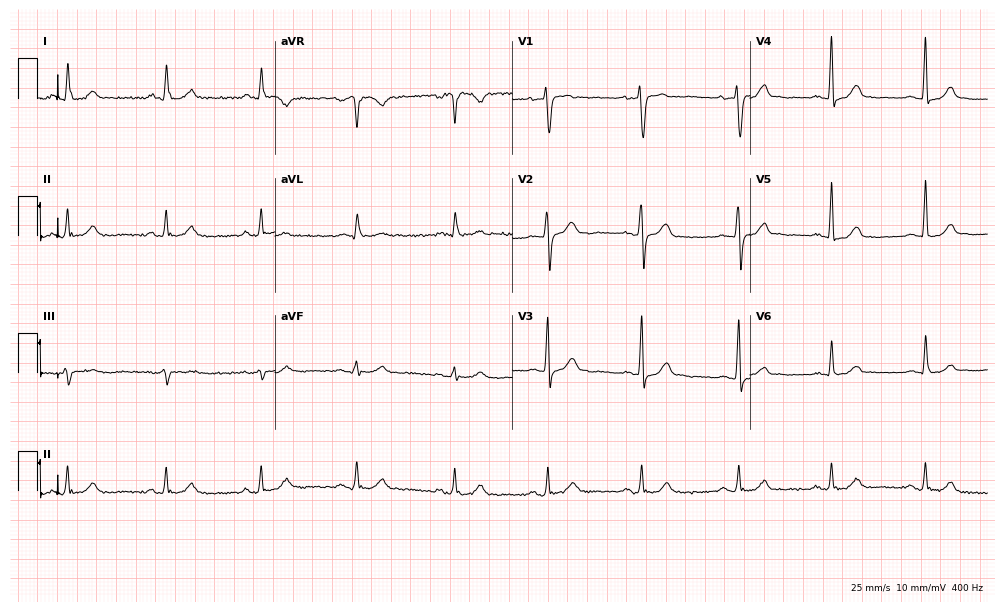
12-lead ECG from a woman, 60 years old. Recorded interpretation: within normal limits.